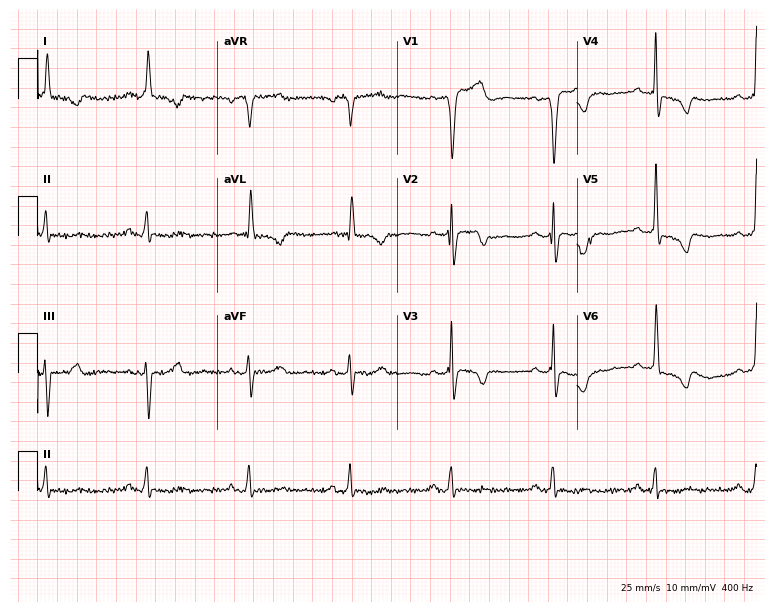
12-lead ECG from a male, 77 years old. Screened for six findings — first-degree AV block, right bundle branch block, left bundle branch block, sinus bradycardia, atrial fibrillation, sinus tachycardia — none is recorded.